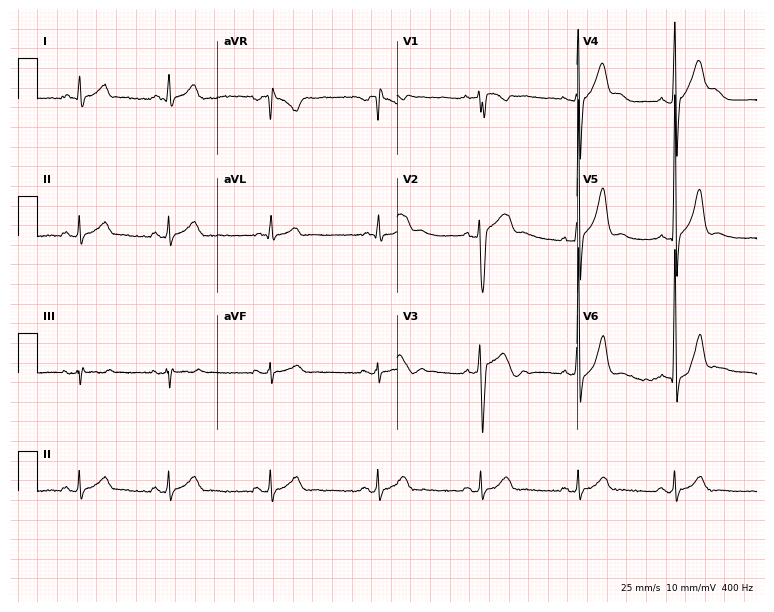
Standard 12-lead ECG recorded from a 20-year-old male patient. Read as a normal ECG.